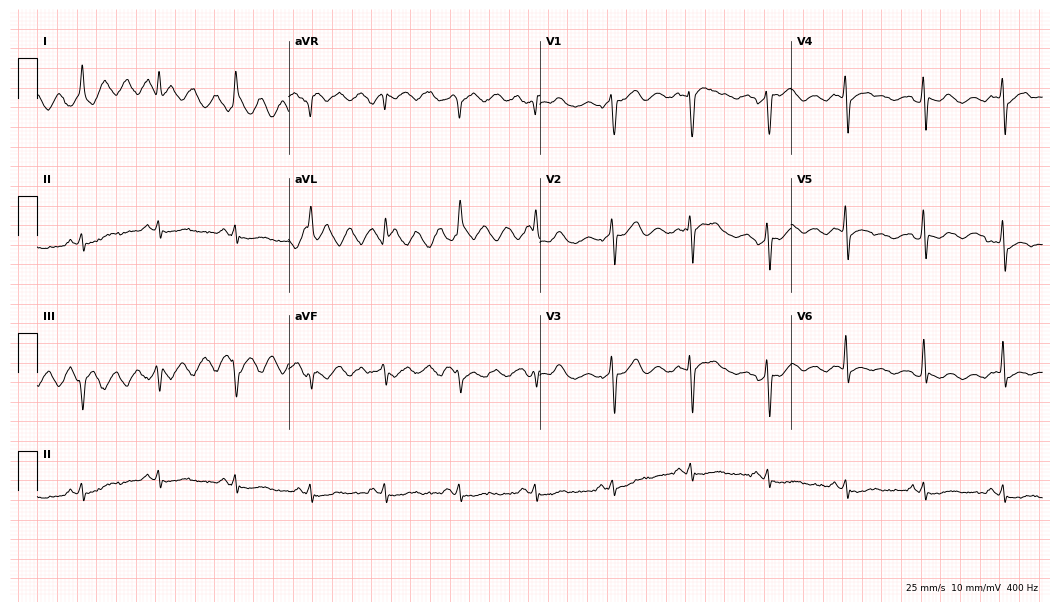
12-lead ECG from a 65-year-old man. Screened for six findings — first-degree AV block, right bundle branch block, left bundle branch block, sinus bradycardia, atrial fibrillation, sinus tachycardia — none is recorded.